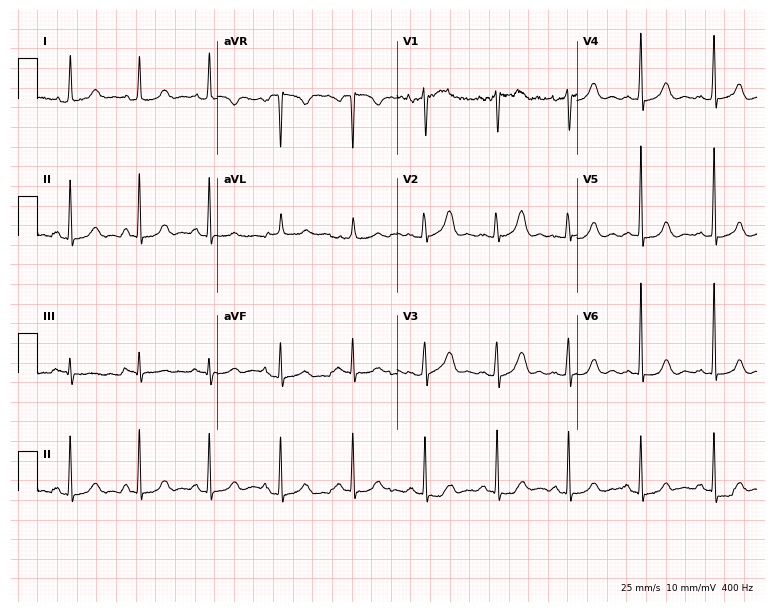
12-lead ECG (7.3-second recording at 400 Hz) from a woman, 79 years old. Screened for six findings — first-degree AV block, right bundle branch block, left bundle branch block, sinus bradycardia, atrial fibrillation, sinus tachycardia — none is recorded.